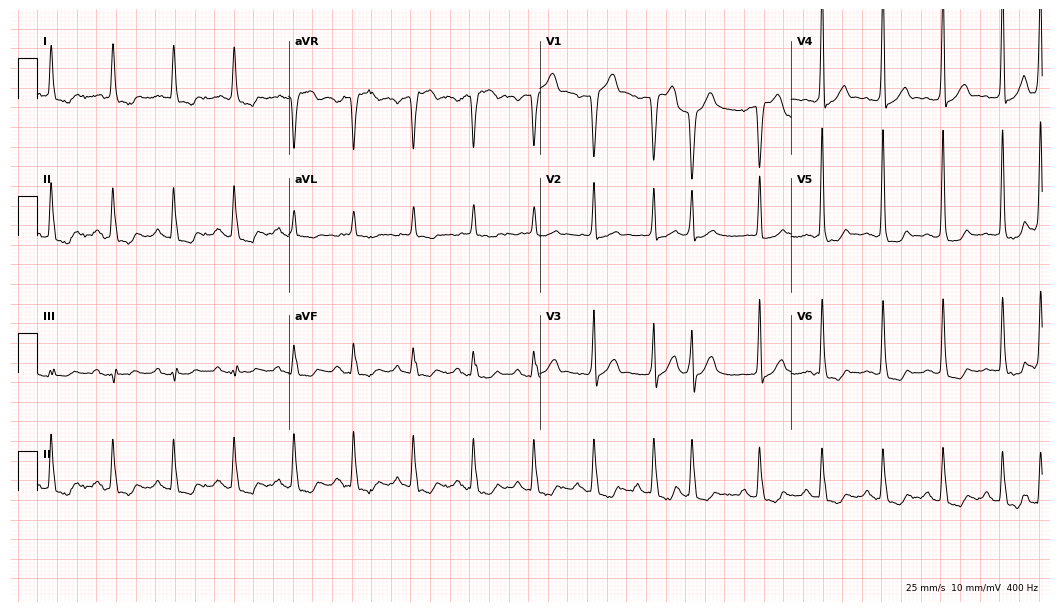
Electrocardiogram (10.2-second recording at 400 Hz), a male, 85 years old. Of the six screened findings (first-degree AV block, right bundle branch block, left bundle branch block, sinus bradycardia, atrial fibrillation, sinus tachycardia), none is recorded.